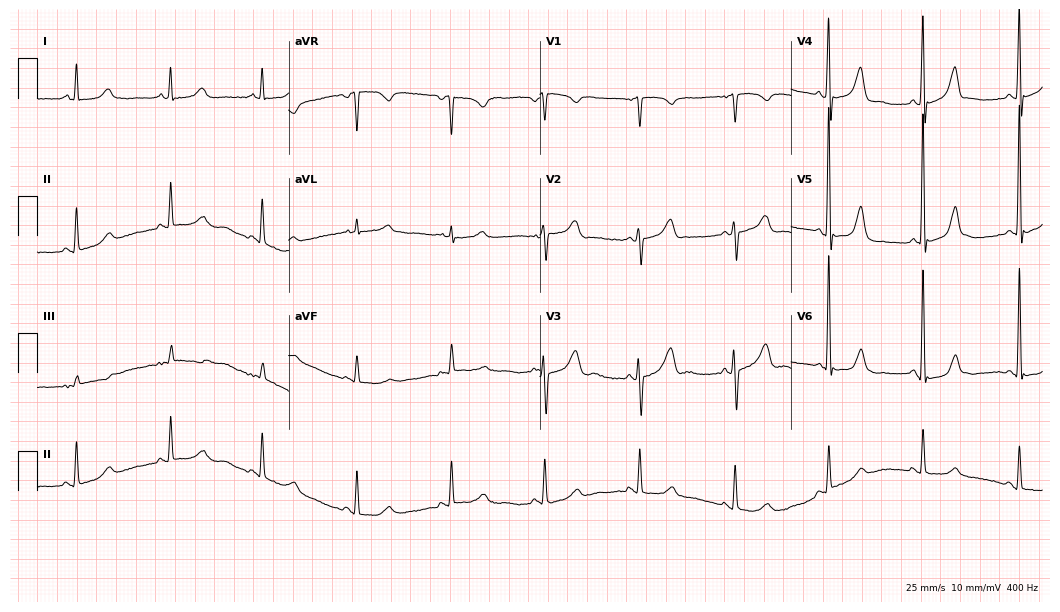
Resting 12-lead electrocardiogram. Patient: a 60-year-old female. Read as a normal ECG.